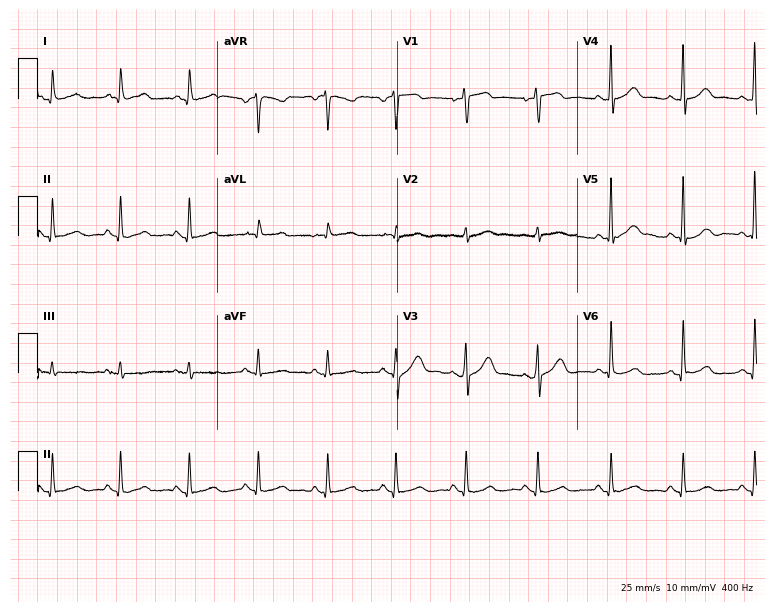
Electrocardiogram (7.3-second recording at 400 Hz), a male patient, 69 years old. Overall reading on record: normal ECG.